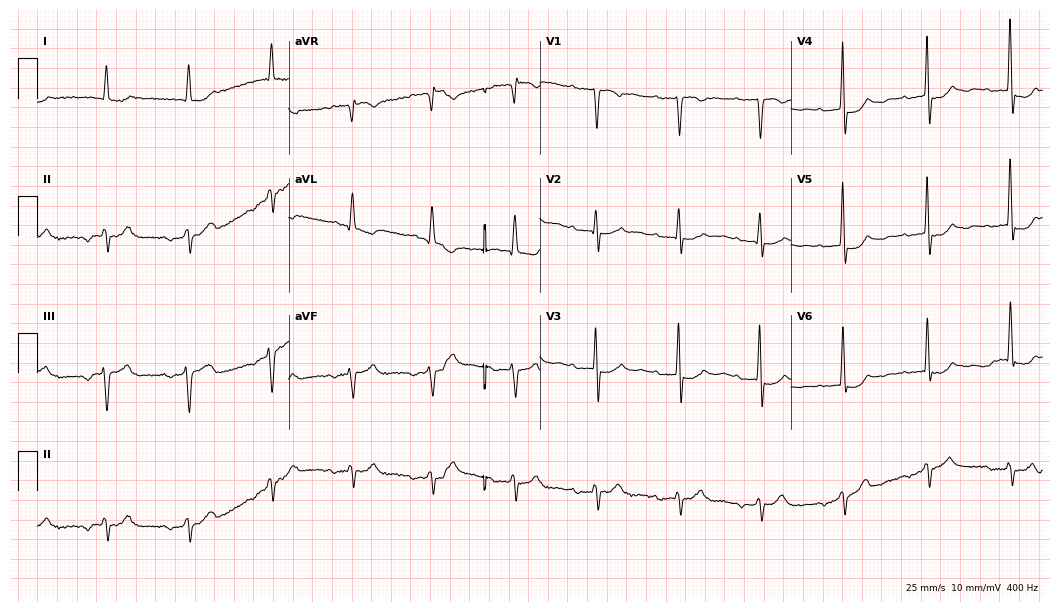
ECG (10.2-second recording at 400 Hz) — a female patient, 82 years old. Screened for six findings — first-degree AV block, right bundle branch block (RBBB), left bundle branch block (LBBB), sinus bradycardia, atrial fibrillation (AF), sinus tachycardia — none is recorded. Other findings, if any, are not listed.